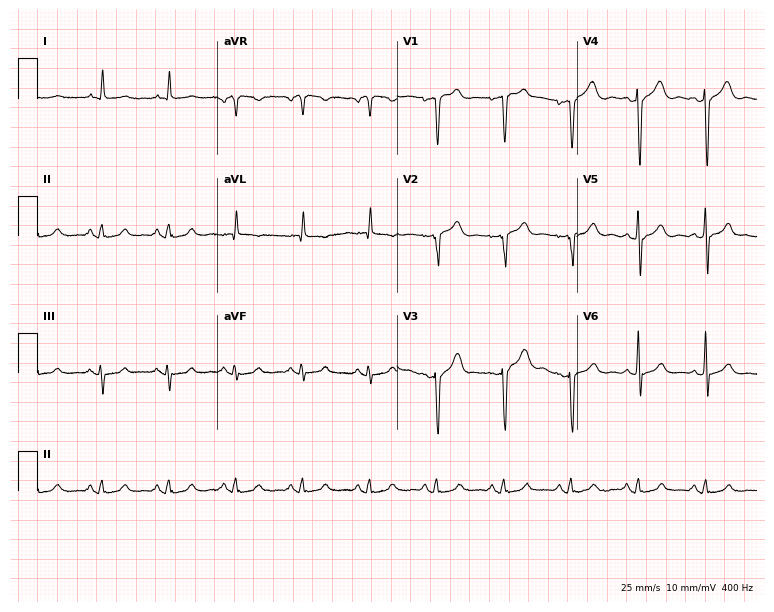
Resting 12-lead electrocardiogram (7.3-second recording at 400 Hz). Patient: an 81-year-old male. None of these six findings is recorded: first-degree AV block, right bundle branch block (RBBB), left bundle branch block (LBBB), sinus bradycardia, atrial fibrillation (AF), sinus tachycardia.